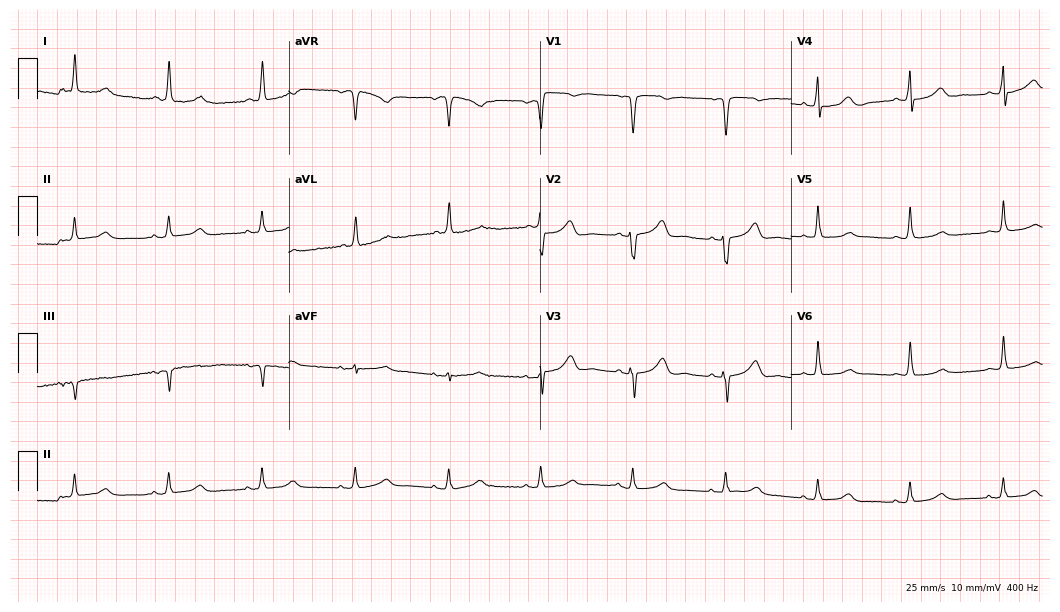
12-lead ECG from a female, 80 years old. Recorded interpretation: within normal limits.